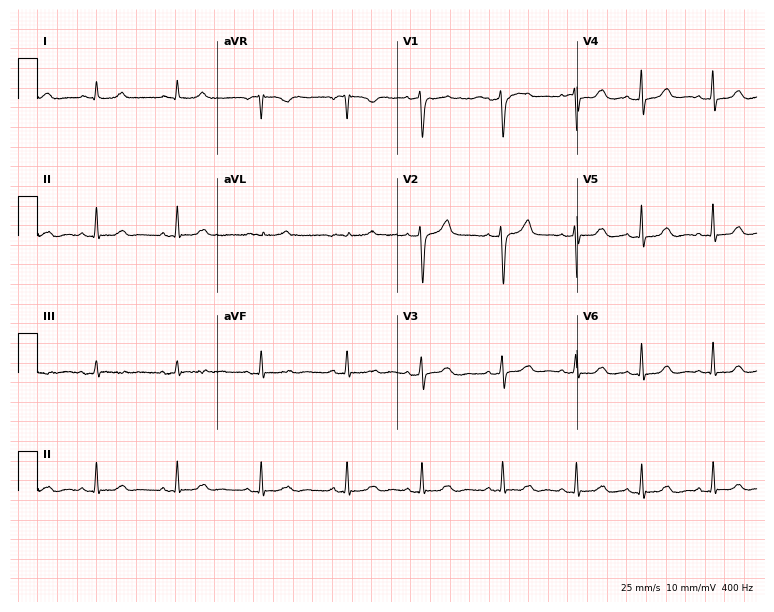
Standard 12-lead ECG recorded from a 72-year-old female patient. Read as a normal ECG.